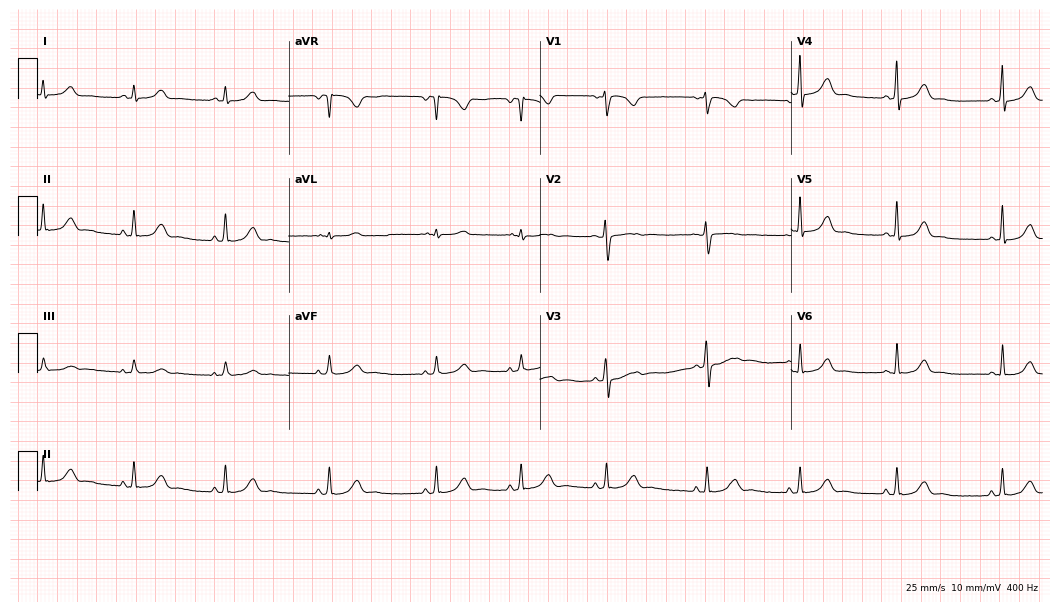
ECG — a 25-year-old female. Labelled as a normal ECG.